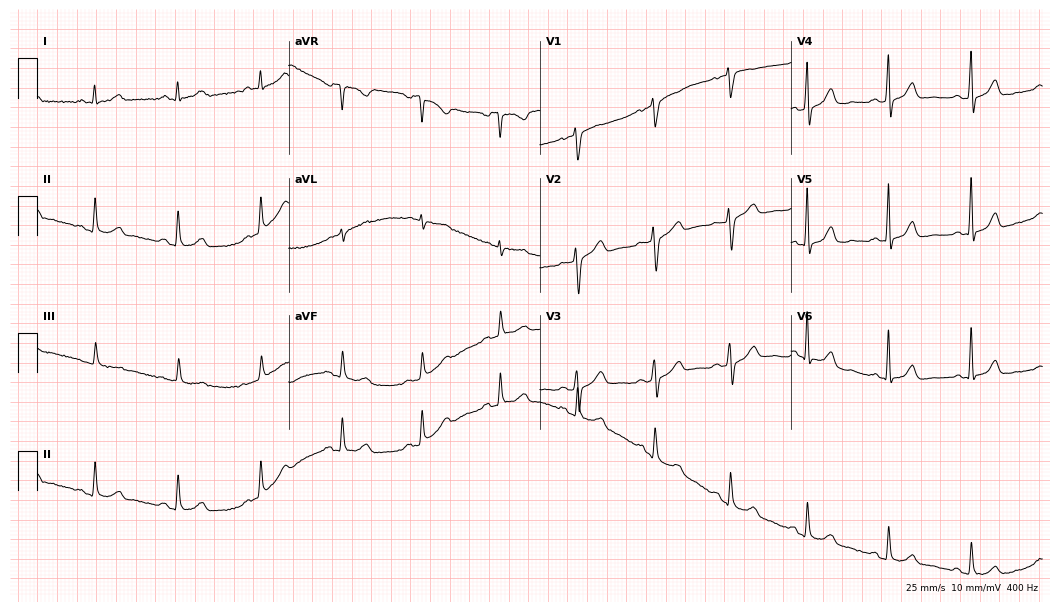
12-lead ECG from a 58-year-old female patient. No first-degree AV block, right bundle branch block, left bundle branch block, sinus bradycardia, atrial fibrillation or sinus tachycardia recorded for this tracing. Only these six findings were labelled.